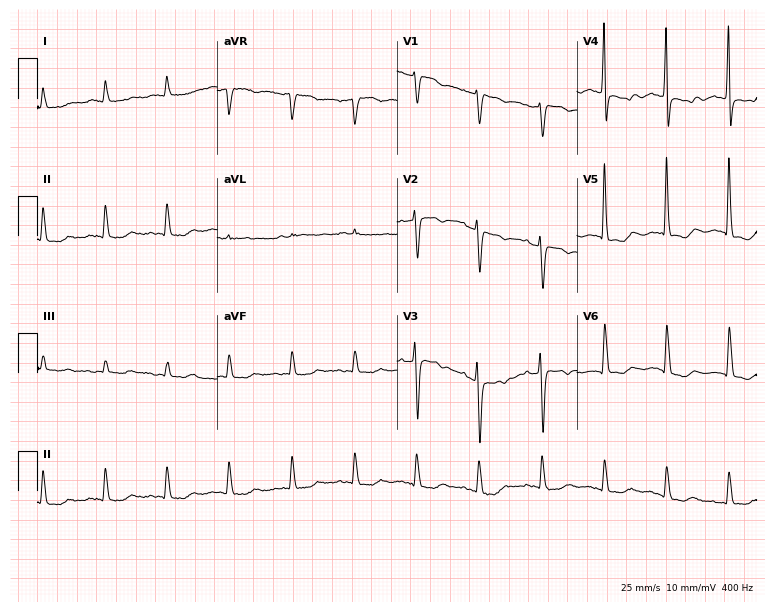
12-lead ECG from an 81-year-old female patient. No first-degree AV block, right bundle branch block, left bundle branch block, sinus bradycardia, atrial fibrillation or sinus tachycardia recorded for this tracing.